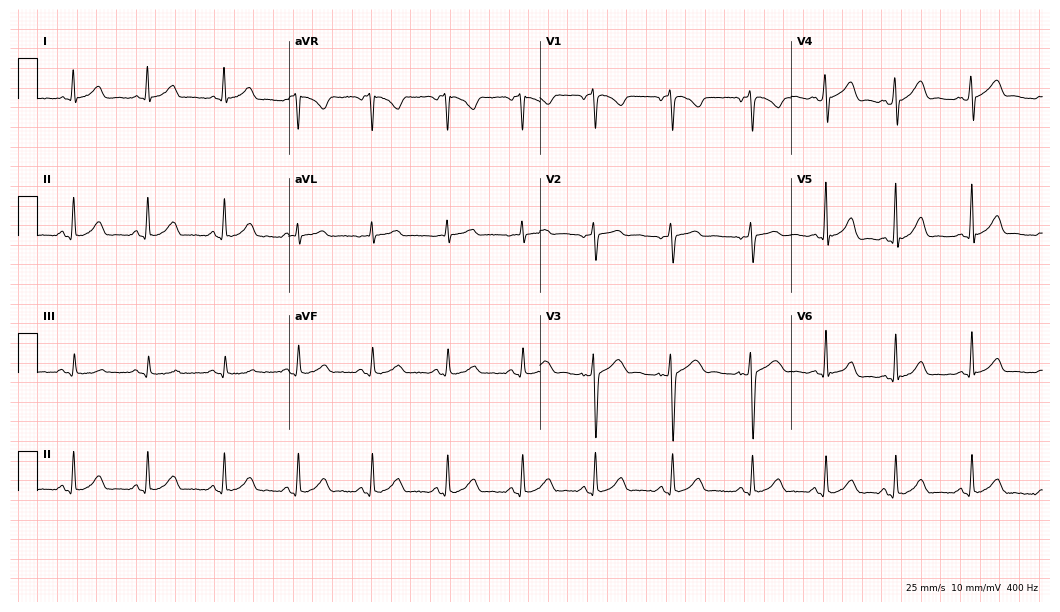
12-lead ECG from a female patient, 24 years old. Screened for six findings — first-degree AV block, right bundle branch block, left bundle branch block, sinus bradycardia, atrial fibrillation, sinus tachycardia — none is recorded.